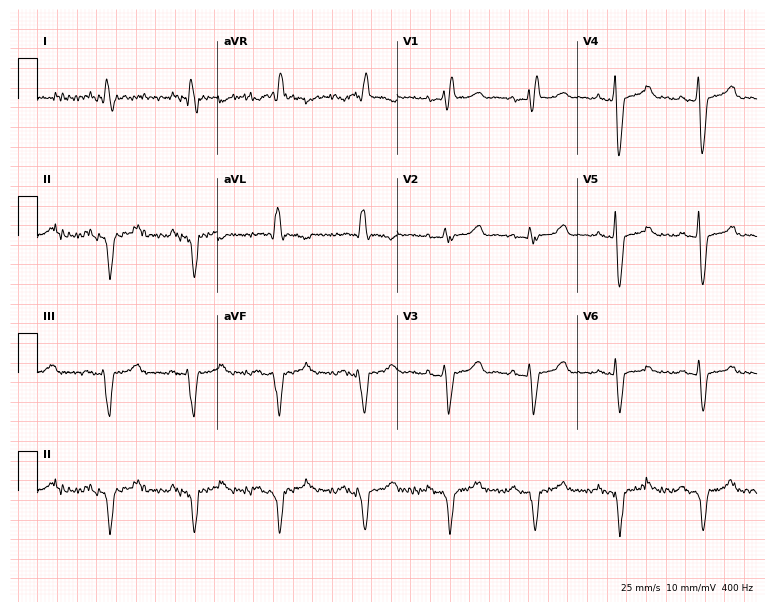
12-lead ECG (7.3-second recording at 400 Hz) from a female patient, 76 years old. Screened for six findings — first-degree AV block, right bundle branch block (RBBB), left bundle branch block (LBBB), sinus bradycardia, atrial fibrillation (AF), sinus tachycardia — none is recorded.